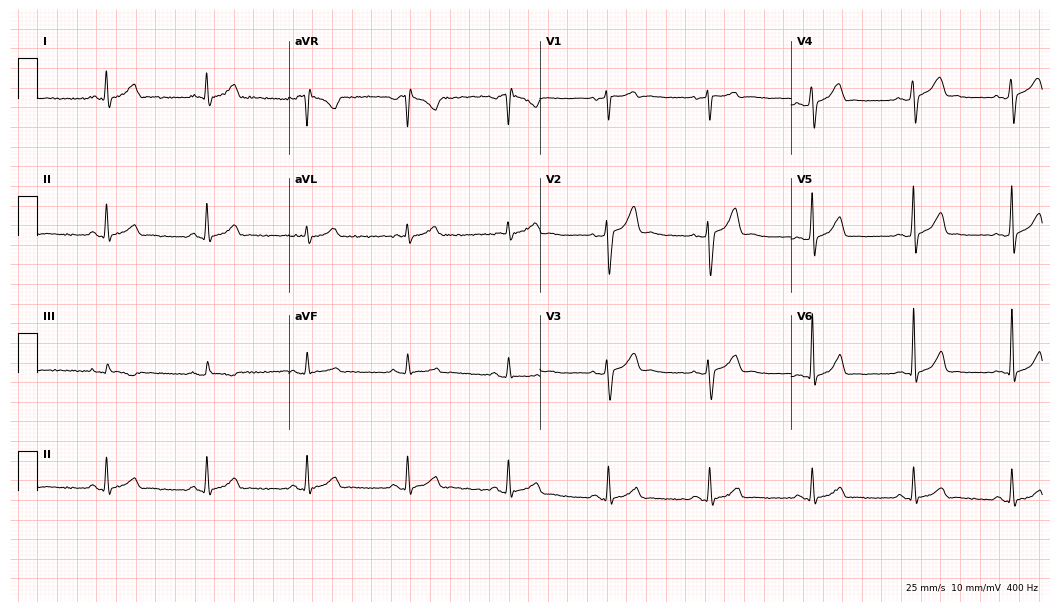
12-lead ECG (10.2-second recording at 400 Hz) from a male, 33 years old. Labelled as a normal ECG.